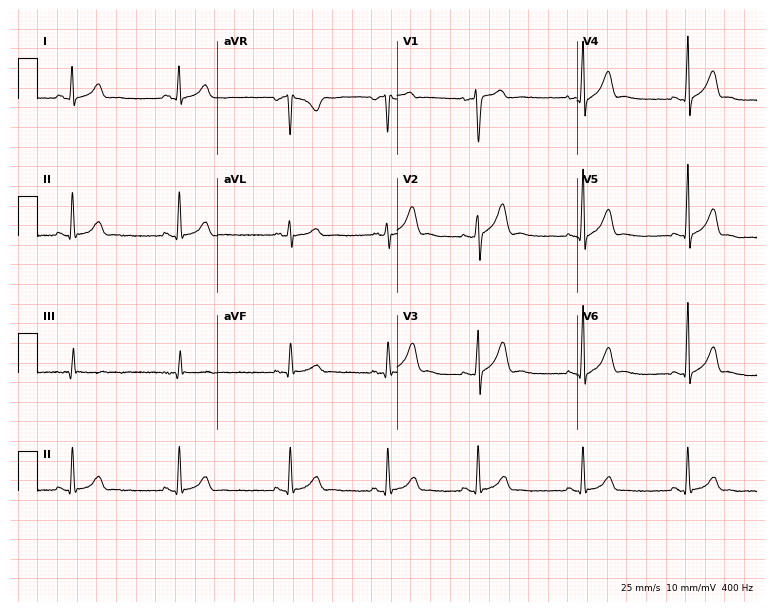
Electrocardiogram (7.3-second recording at 400 Hz), a male patient, 21 years old. Overall reading on record: normal ECG.